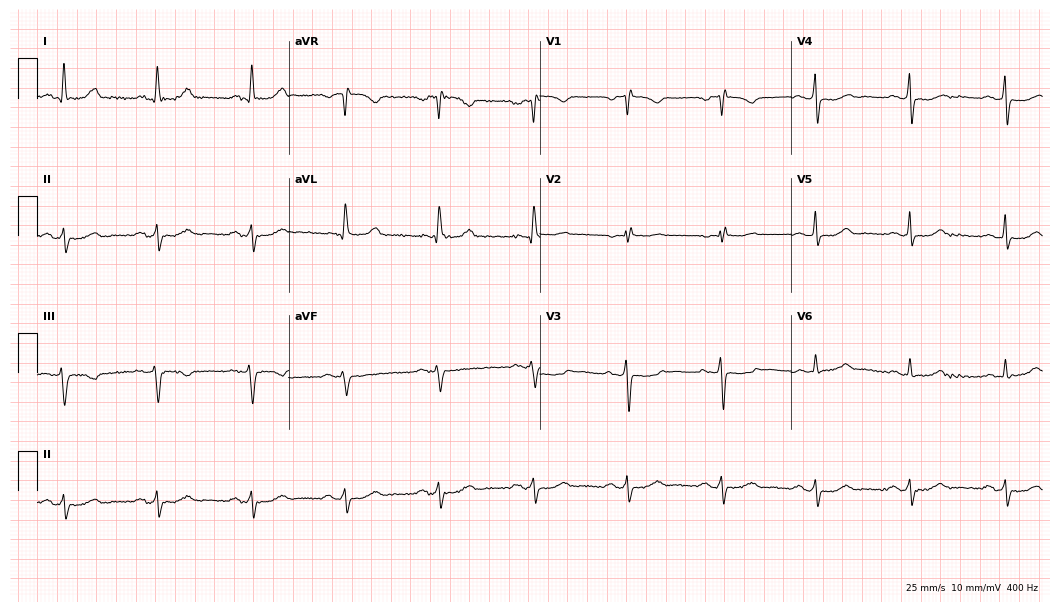
Resting 12-lead electrocardiogram. Patient: a 68-year-old female. None of these six findings is recorded: first-degree AV block, right bundle branch block (RBBB), left bundle branch block (LBBB), sinus bradycardia, atrial fibrillation (AF), sinus tachycardia. Only these six findings were labelled.